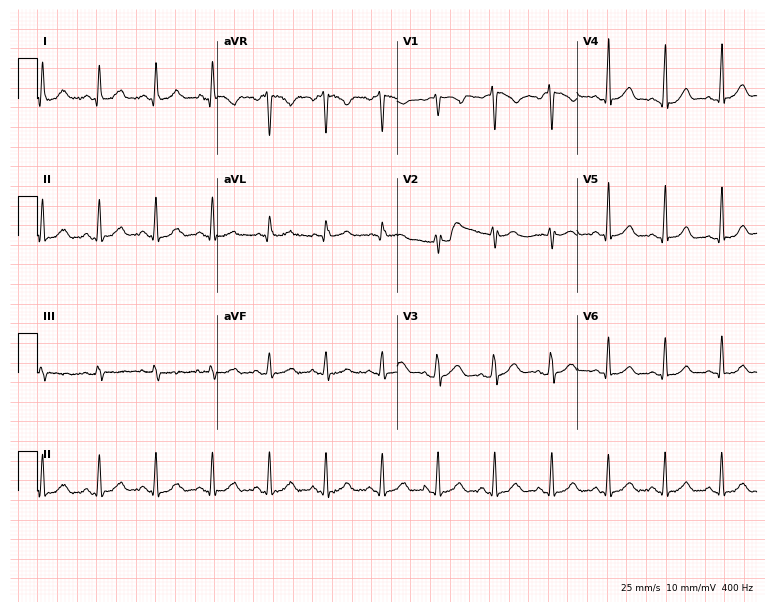
ECG (7.3-second recording at 400 Hz) — a 27-year-old woman. Screened for six findings — first-degree AV block, right bundle branch block, left bundle branch block, sinus bradycardia, atrial fibrillation, sinus tachycardia — none is recorded.